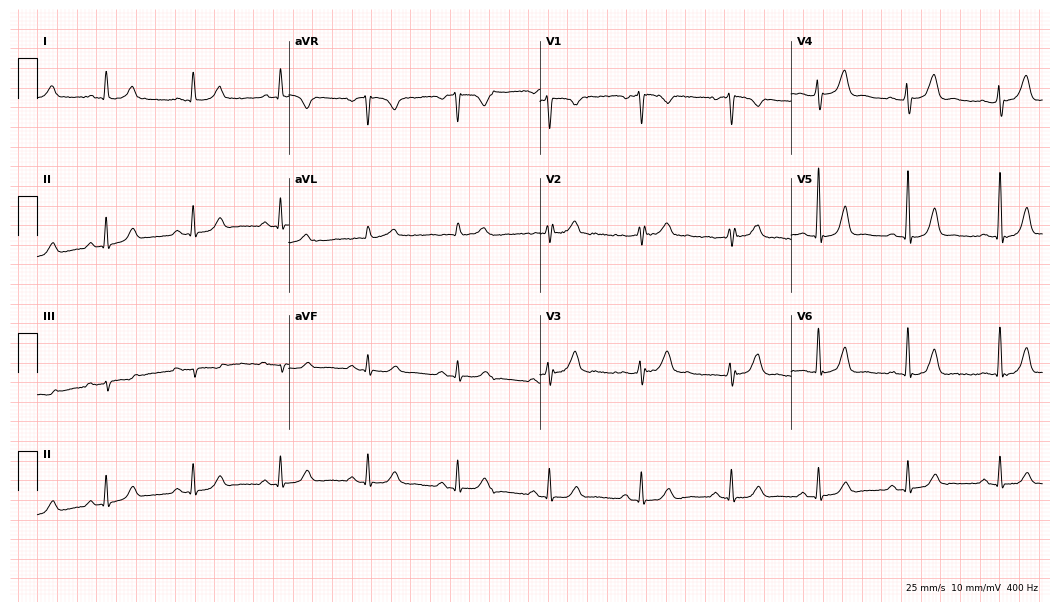
Electrocardiogram (10.2-second recording at 400 Hz), a 48-year-old woman. Of the six screened findings (first-degree AV block, right bundle branch block, left bundle branch block, sinus bradycardia, atrial fibrillation, sinus tachycardia), none is recorded. Findings outside these six are not listed.